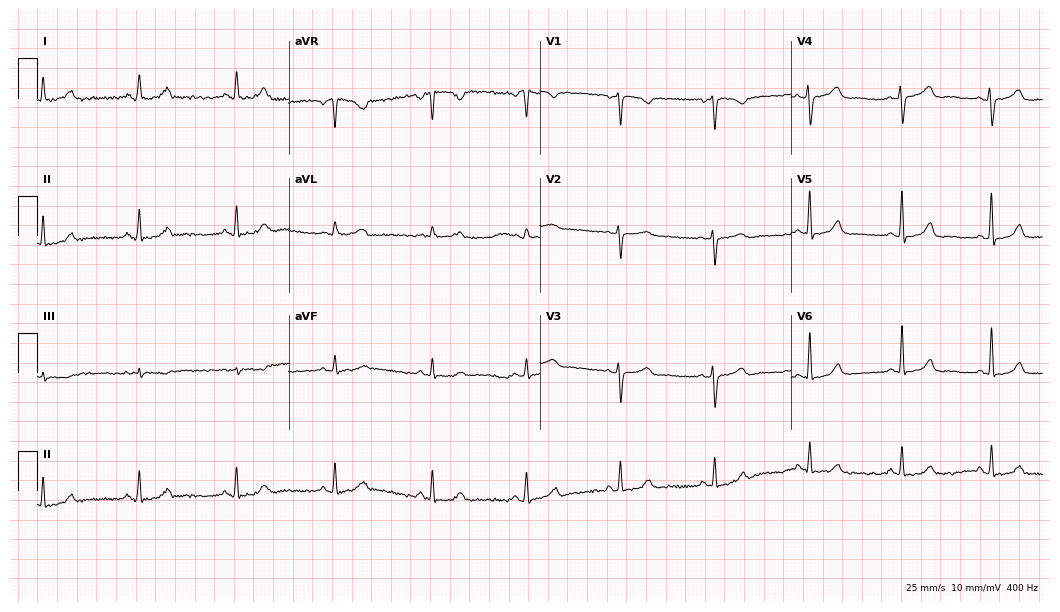
12-lead ECG from a woman, 49 years old. Labelled as a normal ECG.